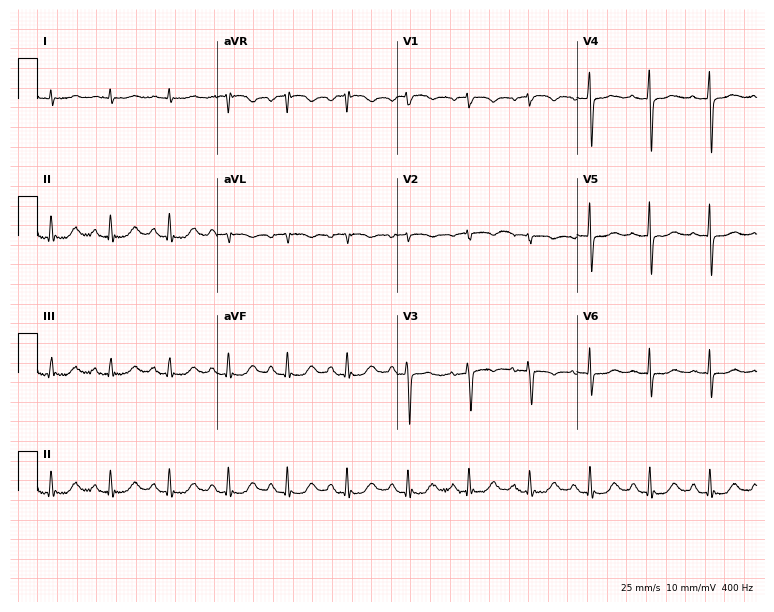
Standard 12-lead ECG recorded from a man, 72 years old. None of these six findings is recorded: first-degree AV block, right bundle branch block (RBBB), left bundle branch block (LBBB), sinus bradycardia, atrial fibrillation (AF), sinus tachycardia. Other findings, if any, are not listed.